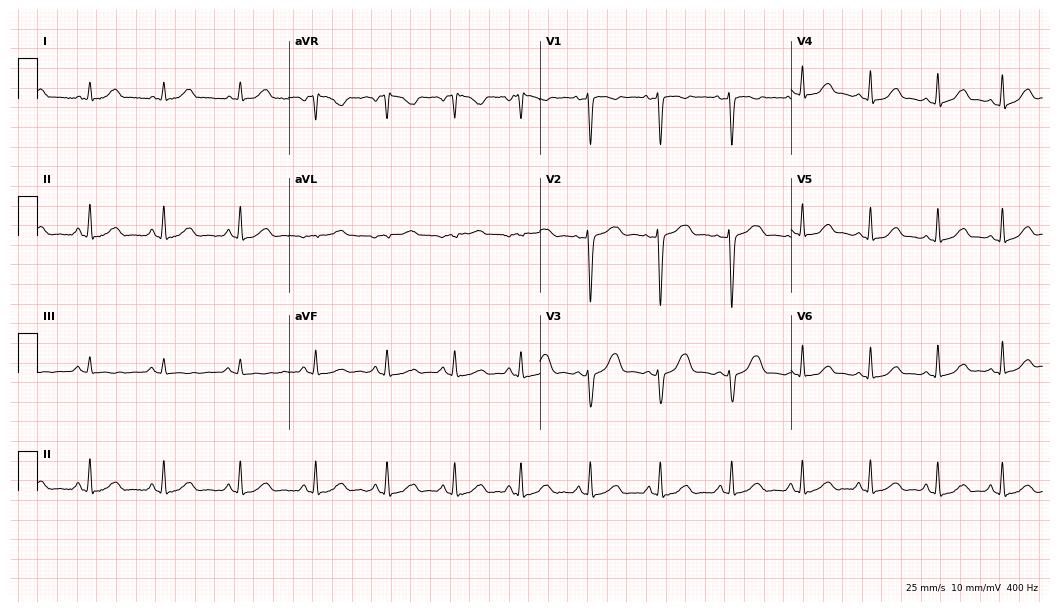
Resting 12-lead electrocardiogram. Patient: a 29-year-old female. None of these six findings is recorded: first-degree AV block, right bundle branch block (RBBB), left bundle branch block (LBBB), sinus bradycardia, atrial fibrillation (AF), sinus tachycardia. Other findings, if any, are not listed.